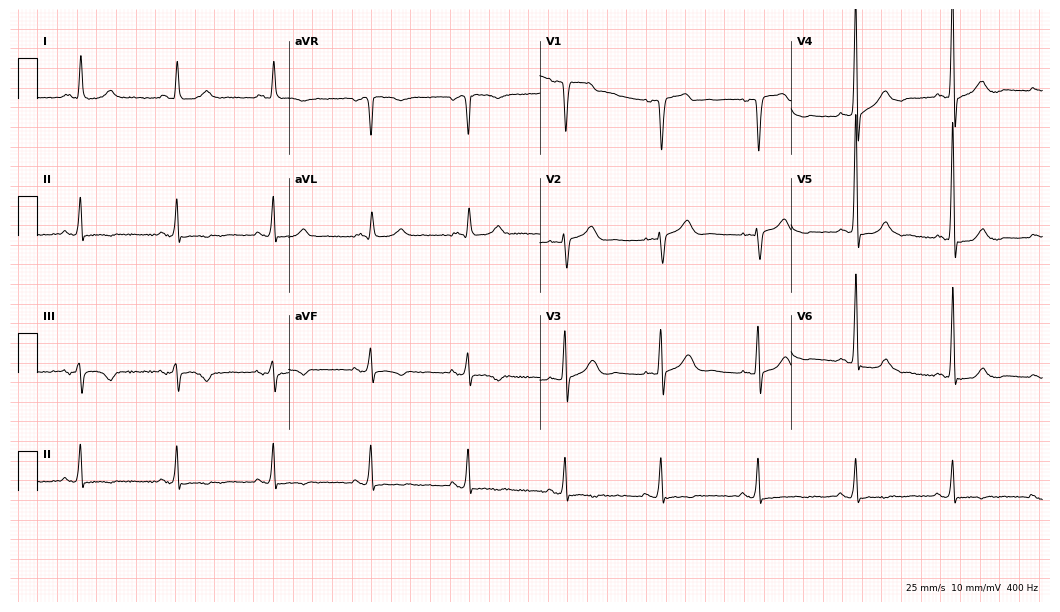
Resting 12-lead electrocardiogram. Patient: a male, 68 years old. None of these six findings is recorded: first-degree AV block, right bundle branch block (RBBB), left bundle branch block (LBBB), sinus bradycardia, atrial fibrillation (AF), sinus tachycardia.